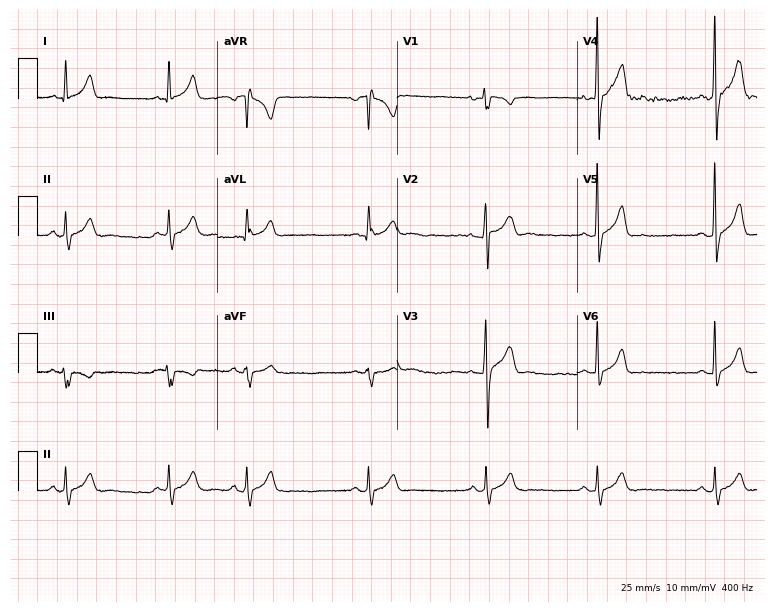
12-lead ECG from a 23-year-old man (7.3-second recording at 400 Hz). No first-degree AV block, right bundle branch block, left bundle branch block, sinus bradycardia, atrial fibrillation or sinus tachycardia recorded for this tracing.